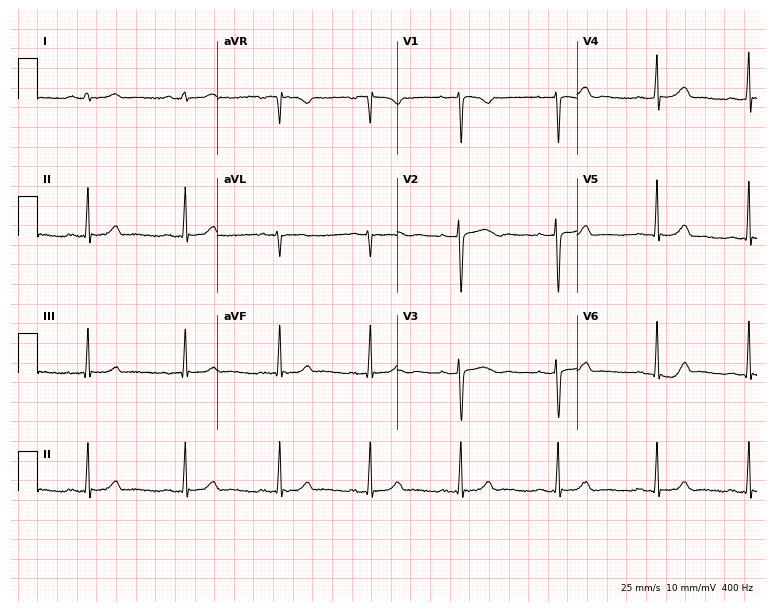
ECG (7.3-second recording at 400 Hz) — a female, 17 years old. Labelled as a normal ECG.